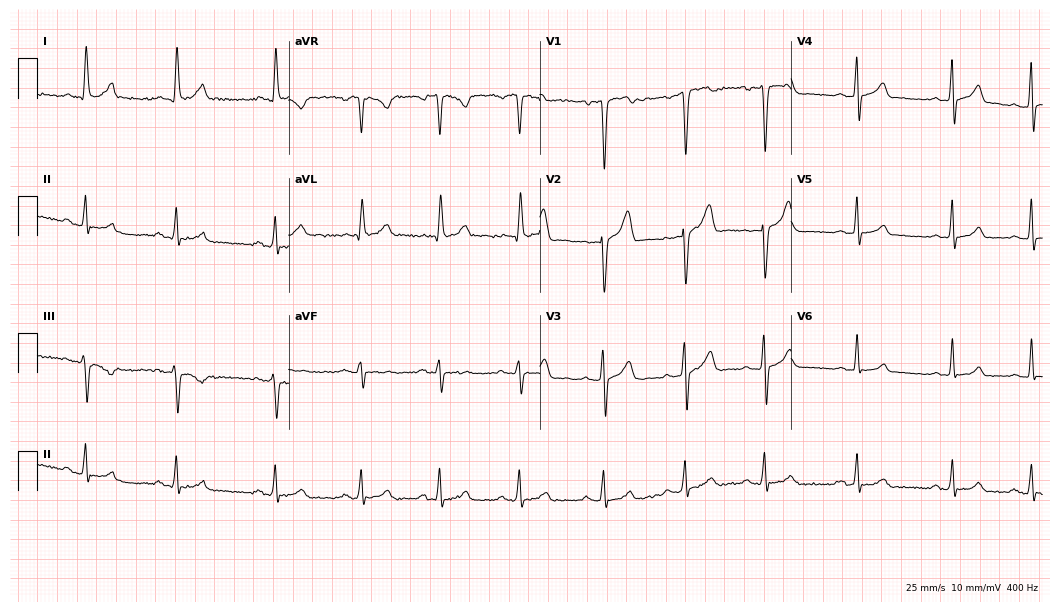
Electrocardiogram (10.2-second recording at 400 Hz), a male, 26 years old. Overall reading on record: normal ECG.